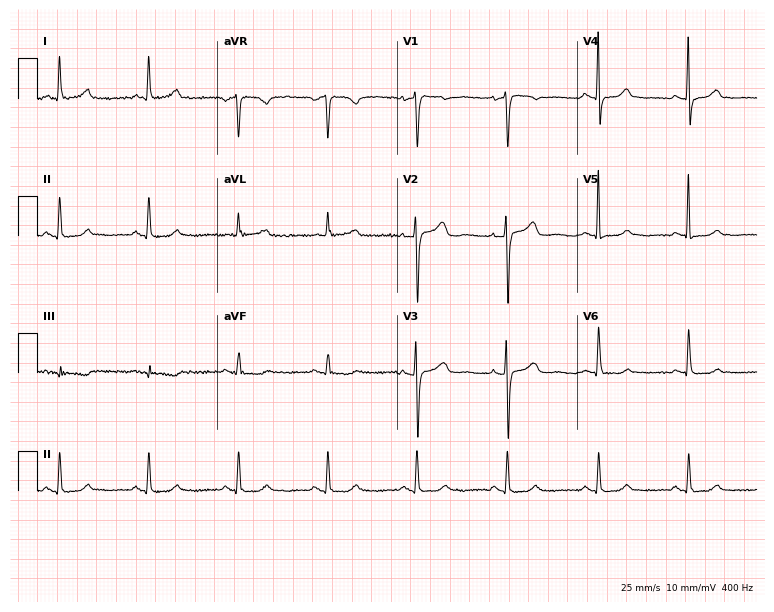
12-lead ECG (7.3-second recording at 400 Hz) from a female patient, 66 years old. Screened for six findings — first-degree AV block, right bundle branch block, left bundle branch block, sinus bradycardia, atrial fibrillation, sinus tachycardia — none is recorded. Only these six findings were labelled.